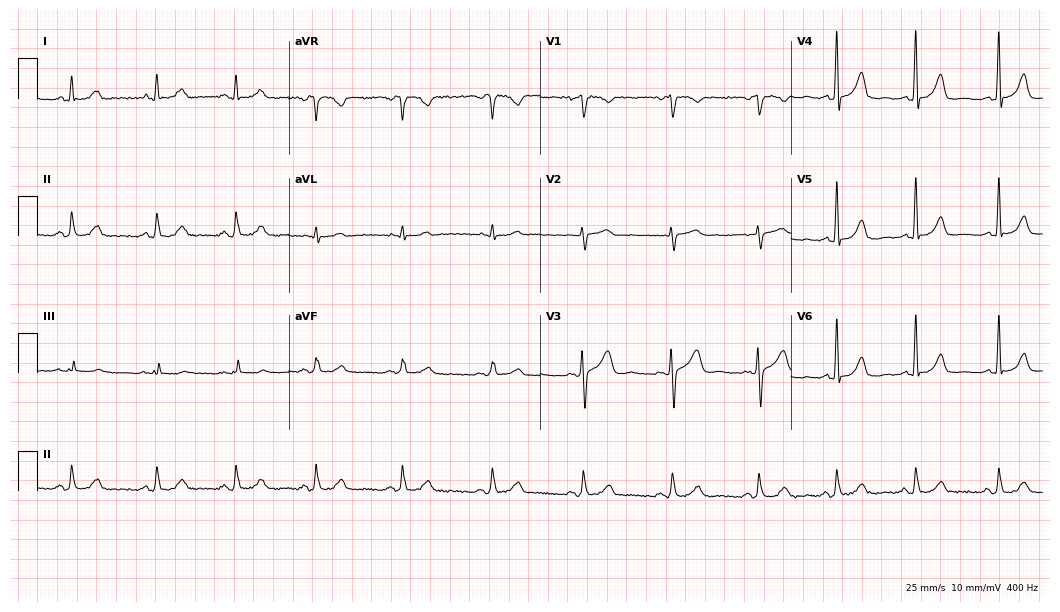
Resting 12-lead electrocardiogram (10.2-second recording at 400 Hz). Patient: a woman, 52 years old. Read as a normal ECG.